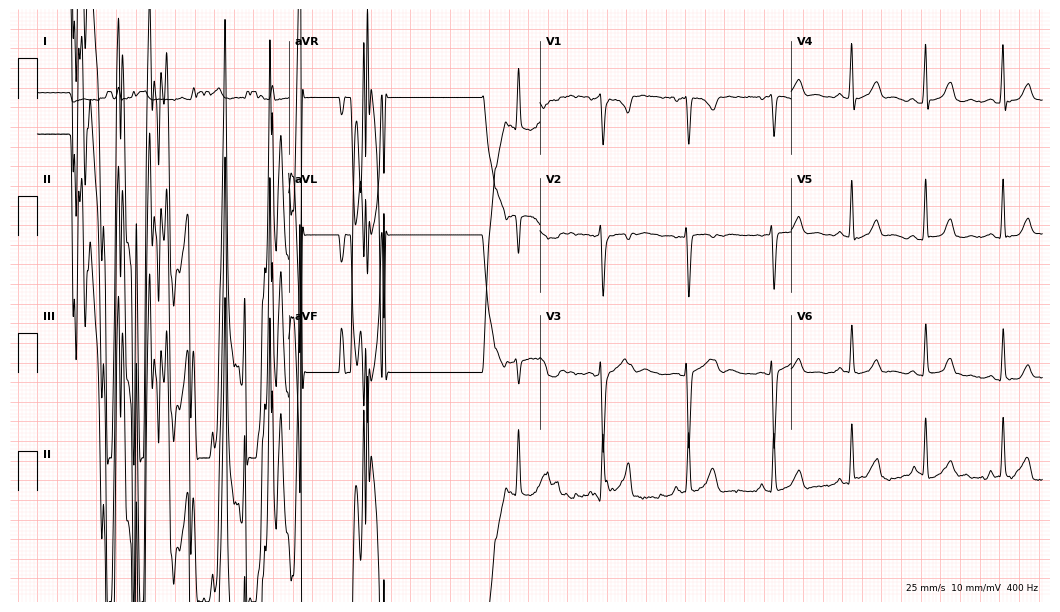
Resting 12-lead electrocardiogram (10.2-second recording at 400 Hz). Patient: a female, 25 years old. None of these six findings is recorded: first-degree AV block, right bundle branch block, left bundle branch block, sinus bradycardia, atrial fibrillation, sinus tachycardia.